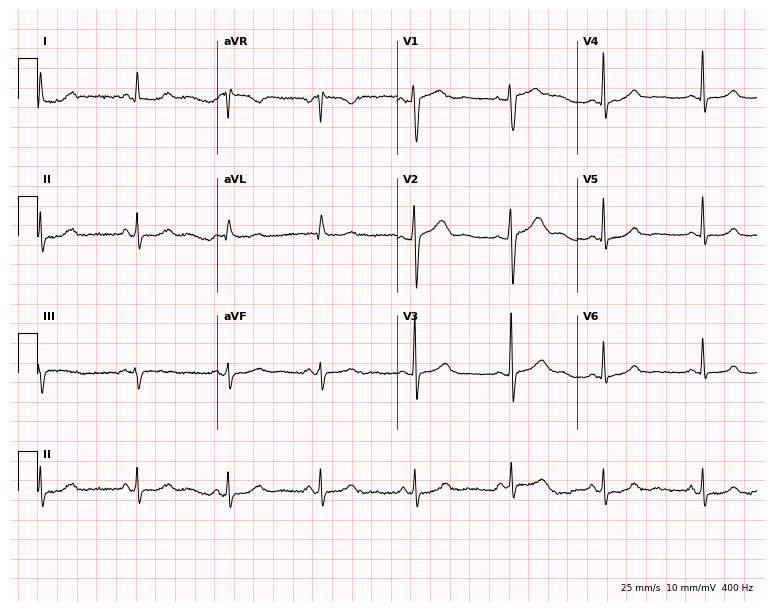
Electrocardiogram, a 42-year-old woman. Overall reading on record: normal ECG.